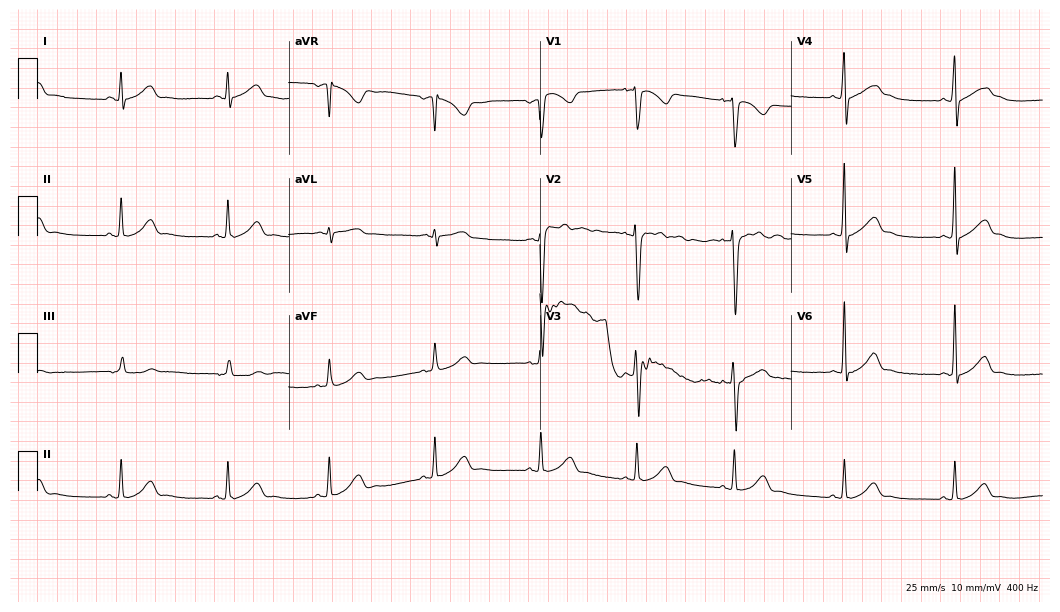
Electrocardiogram, a man, 30 years old. Overall reading on record: normal ECG.